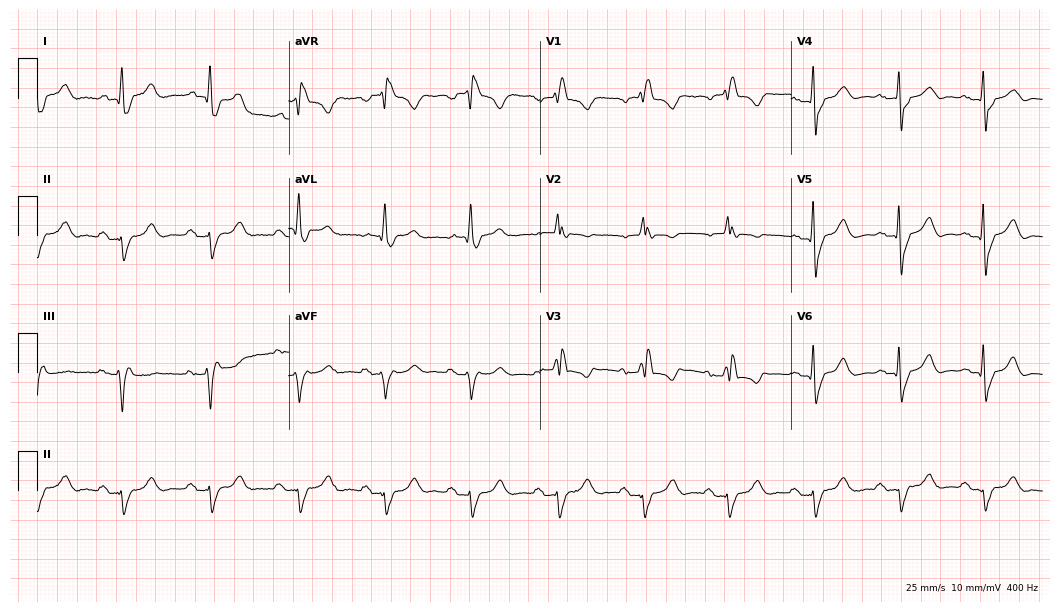
12-lead ECG from a 68-year-old female. Findings include first-degree AV block, right bundle branch block.